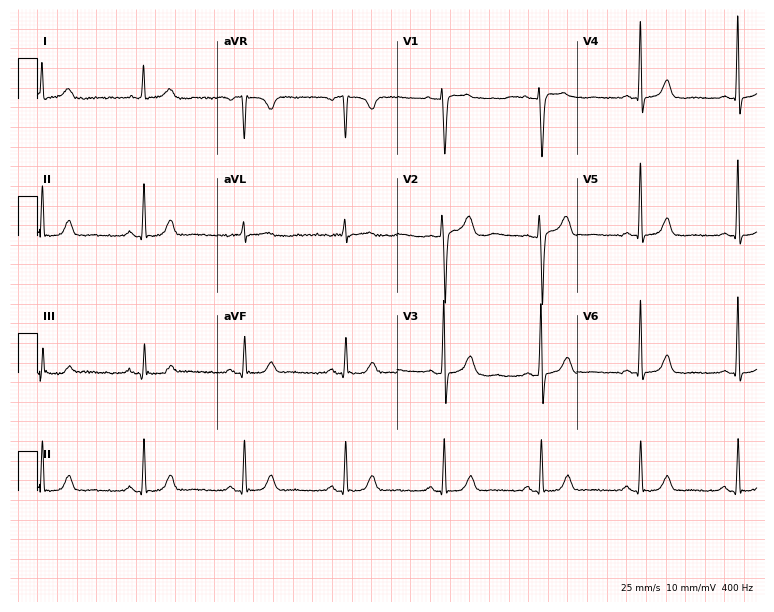
Resting 12-lead electrocardiogram (7.3-second recording at 400 Hz). Patient: a 57-year-old female. None of these six findings is recorded: first-degree AV block, right bundle branch block, left bundle branch block, sinus bradycardia, atrial fibrillation, sinus tachycardia.